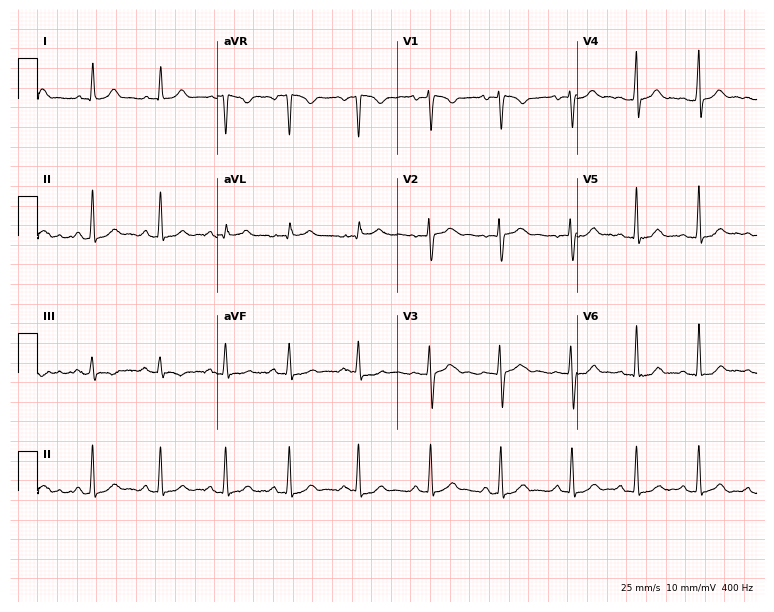
12-lead ECG (7.3-second recording at 400 Hz) from a 25-year-old female. Labelled as a normal ECG.